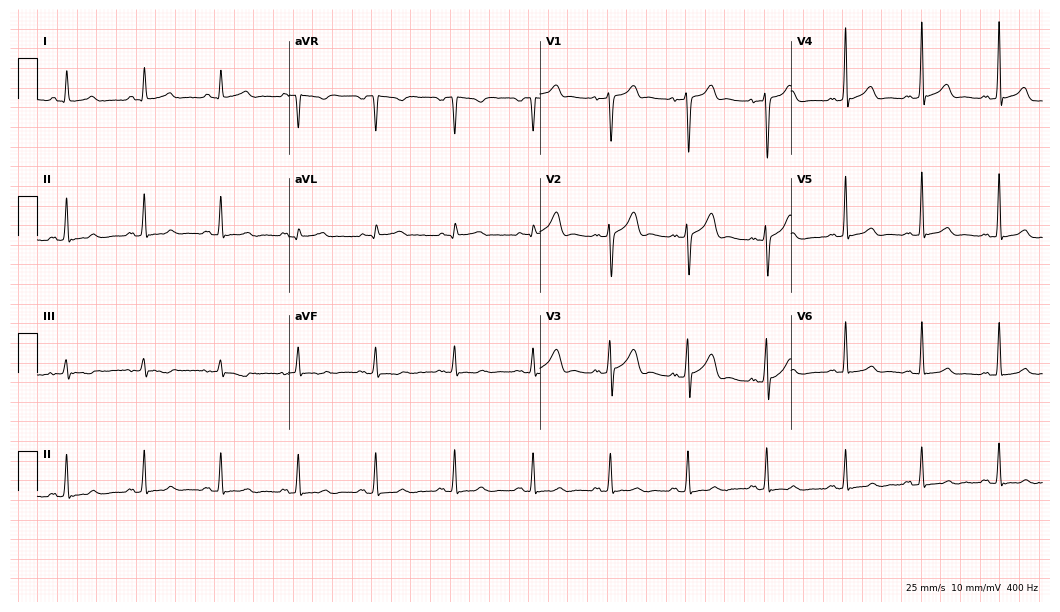
ECG (10.2-second recording at 400 Hz) — a 50-year-old man. Labelled as a normal ECG.